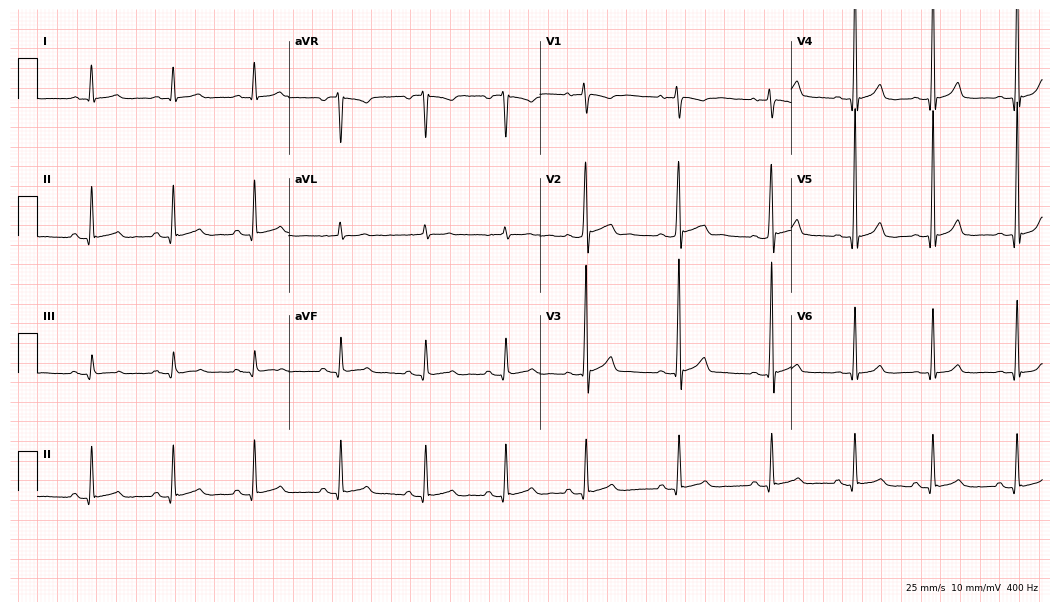
Resting 12-lead electrocardiogram. Patient: a male, 21 years old. None of these six findings is recorded: first-degree AV block, right bundle branch block, left bundle branch block, sinus bradycardia, atrial fibrillation, sinus tachycardia.